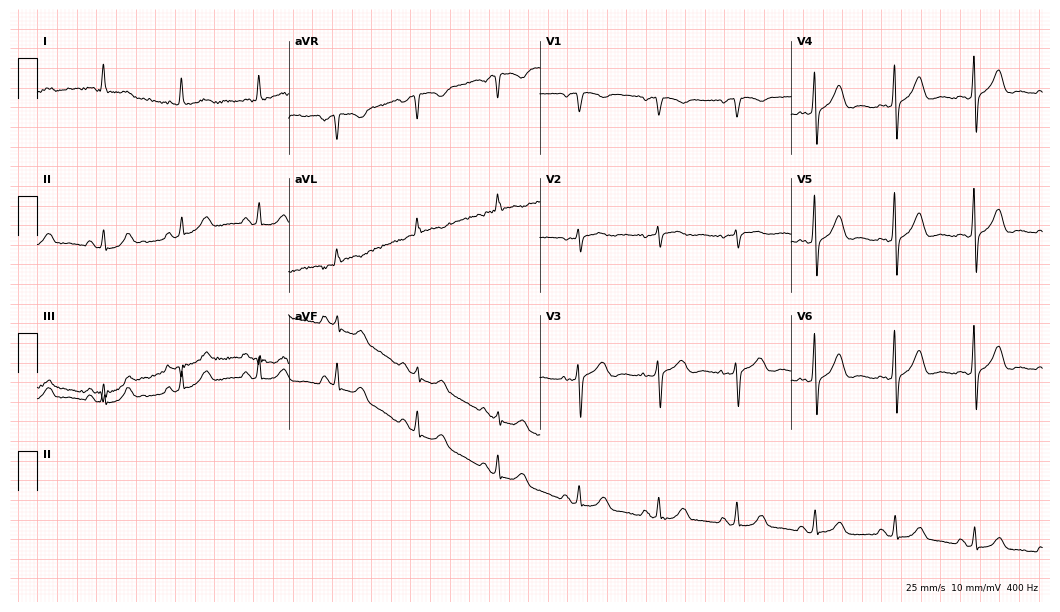
Standard 12-lead ECG recorded from a 79-year-old woman (10.2-second recording at 400 Hz). Read as a normal ECG.